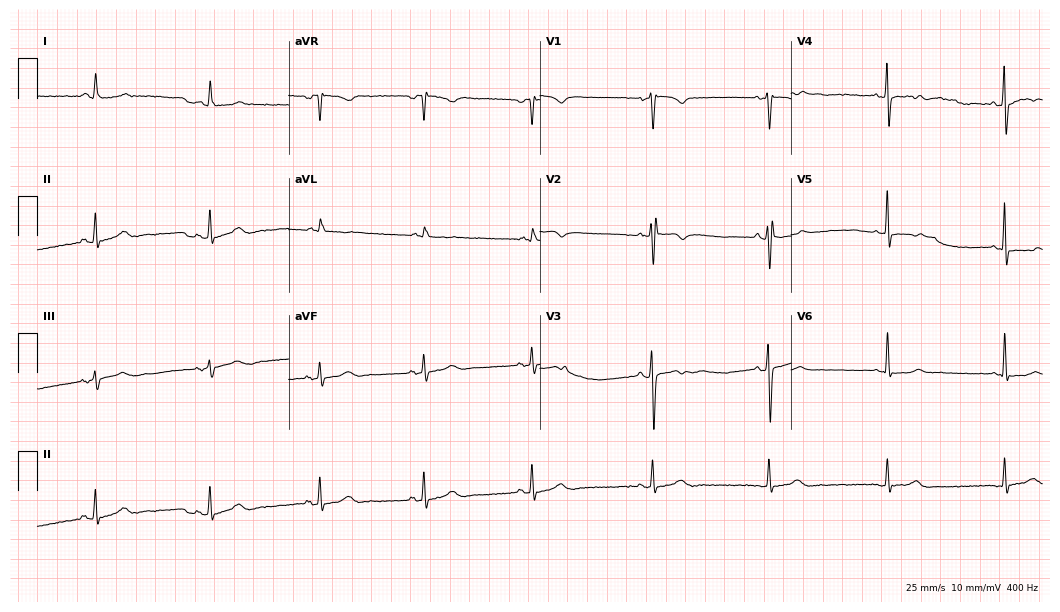
Electrocardiogram, a man, 39 years old. Of the six screened findings (first-degree AV block, right bundle branch block, left bundle branch block, sinus bradycardia, atrial fibrillation, sinus tachycardia), none is recorded. Only these six findings were labelled.